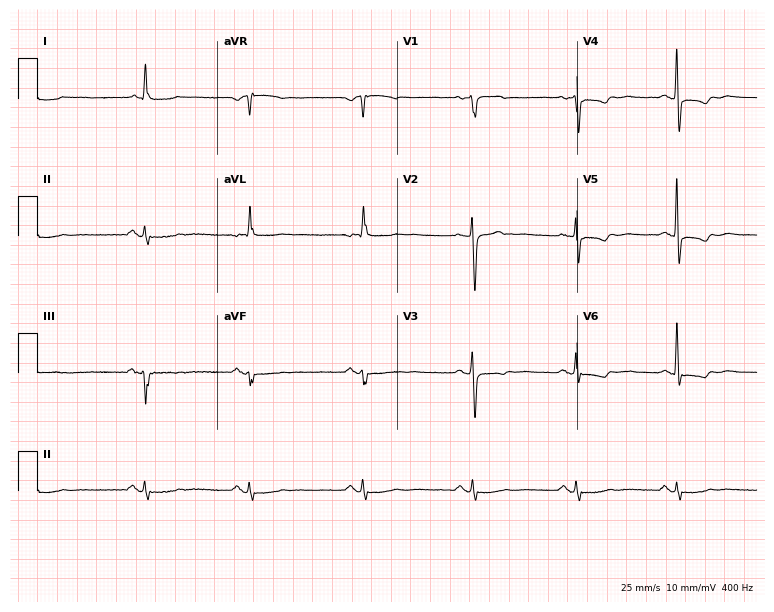
12-lead ECG from a 76-year-old female (7.3-second recording at 400 Hz). No first-degree AV block, right bundle branch block, left bundle branch block, sinus bradycardia, atrial fibrillation or sinus tachycardia recorded for this tracing. Other findings, if any, are not listed.